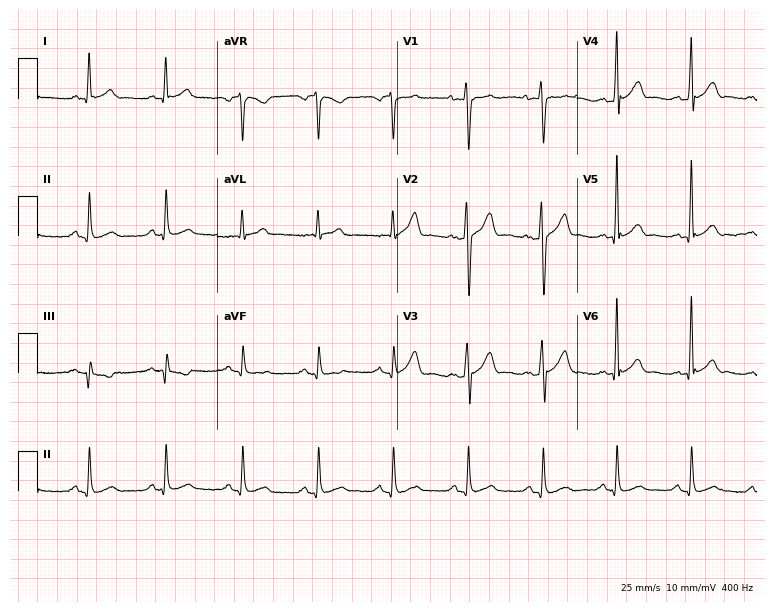
Electrocardiogram (7.3-second recording at 400 Hz), a 48-year-old male. Of the six screened findings (first-degree AV block, right bundle branch block (RBBB), left bundle branch block (LBBB), sinus bradycardia, atrial fibrillation (AF), sinus tachycardia), none is recorded. Only these six findings were labelled.